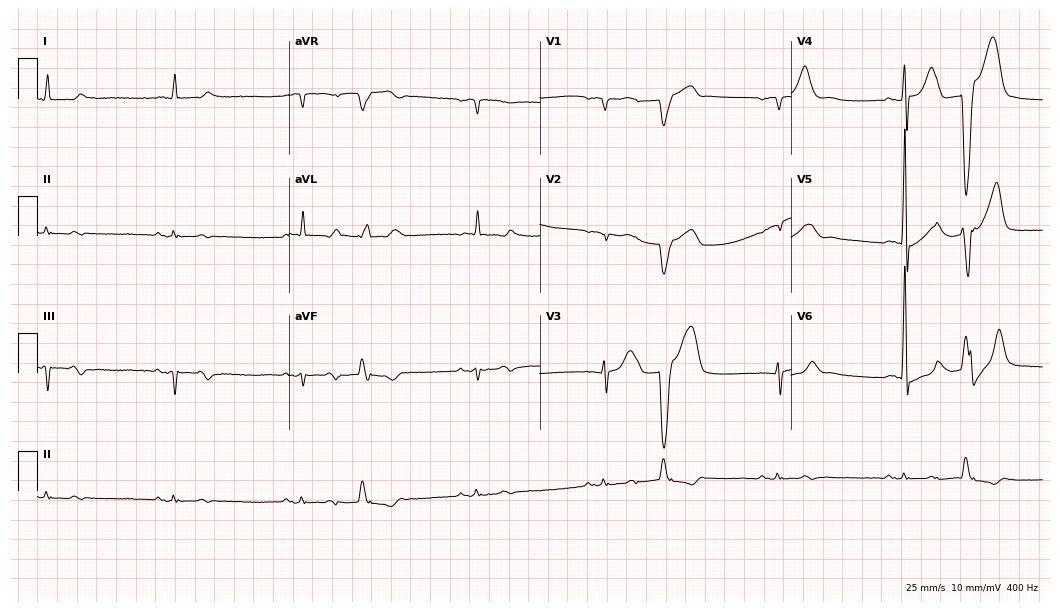
Standard 12-lead ECG recorded from a 79-year-old man (10.2-second recording at 400 Hz). The tracing shows sinus bradycardia (a sinus rate of 50 beats per minute or less).